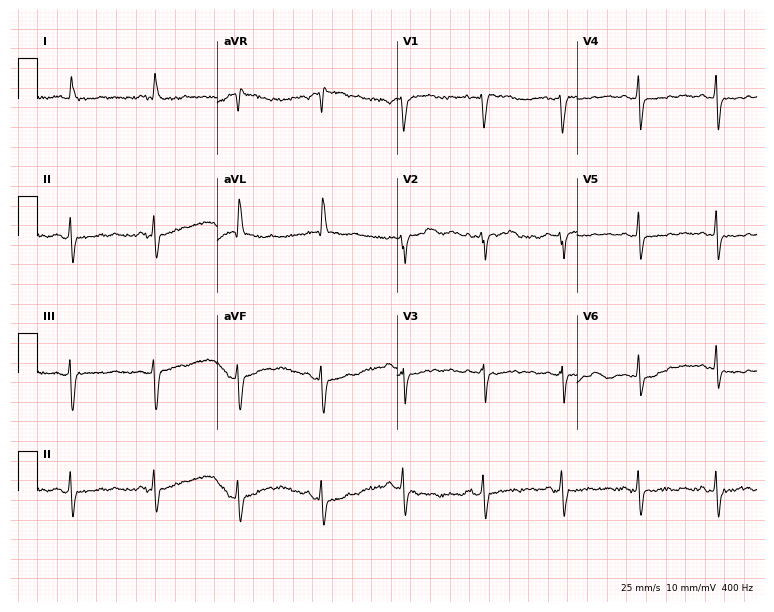
ECG (7.3-second recording at 400 Hz) — a female patient, 67 years old. Screened for six findings — first-degree AV block, right bundle branch block, left bundle branch block, sinus bradycardia, atrial fibrillation, sinus tachycardia — none is recorded. Only these six findings were labelled.